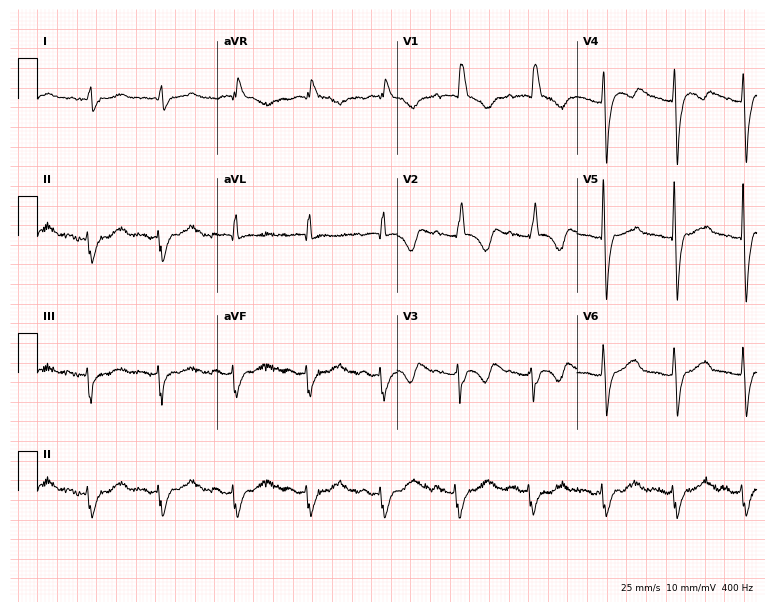
ECG (7.3-second recording at 400 Hz) — a female patient, 67 years old. Findings include right bundle branch block (RBBB).